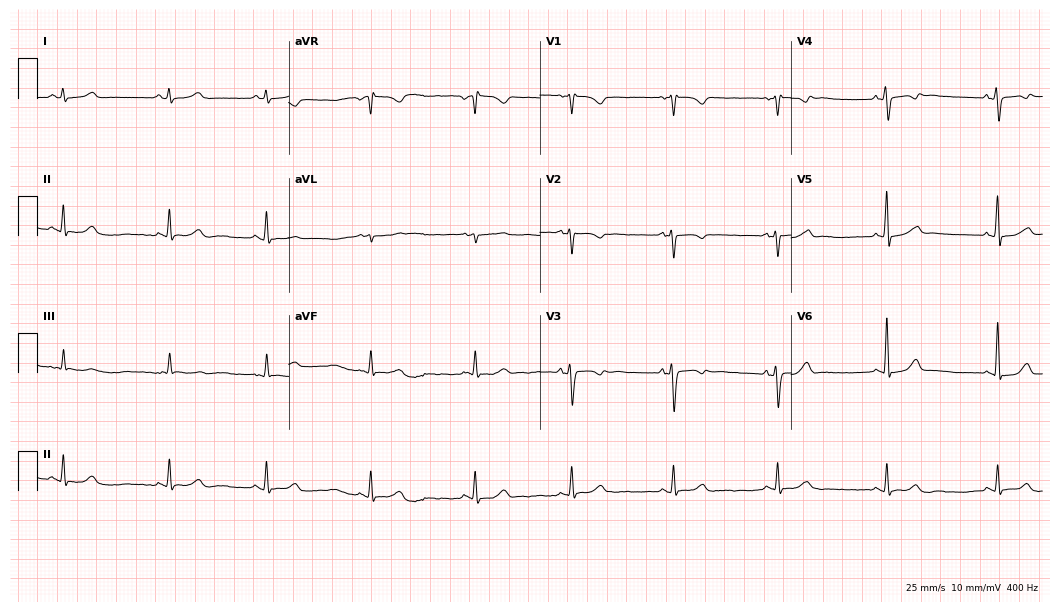
12-lead ECG (10.2-second recording at 400 Hz) from a 42-year-old female patient. Screened for six findings — first-degree AV block, right bundle branch block, left bundle branch block, sinus bradycardia, atrial fibrillation, sinus tachycardia — none is recorded.